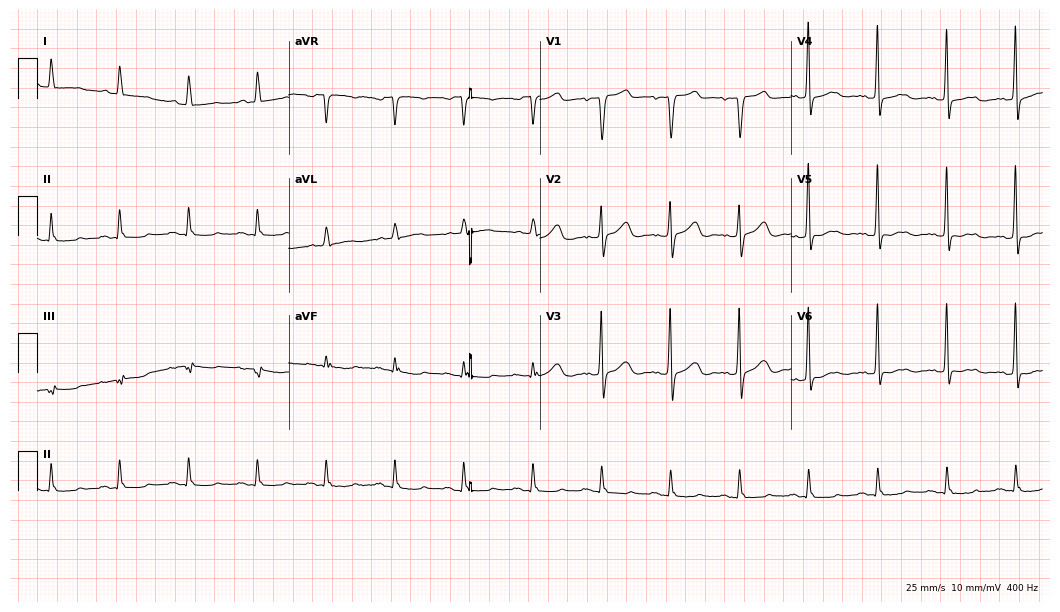
Standard 12-lead ECG recorded from a female patient, 81 years old (10.2-second recording at 400 Hz). None of these six findings is recorded: first-degree AV block, right bundle branch block, left bundle branch block, sinus bradycardia, atrial fibrillation, sinus tachycardia.